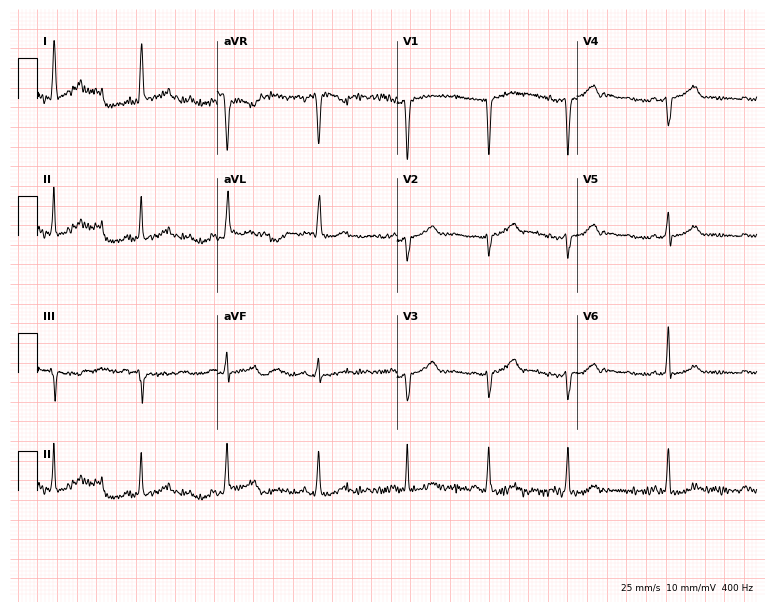
12-lead ECG (7.3-second recording at 400 Hz) from a 44-year-old female. Screened for six findings — first-degree AV block, right bundle branch block, left bundle branch block, sinus bradycardia, atrial fibrillation, sinus tachycardia — none is recorded. Findings outside these six are not listed.